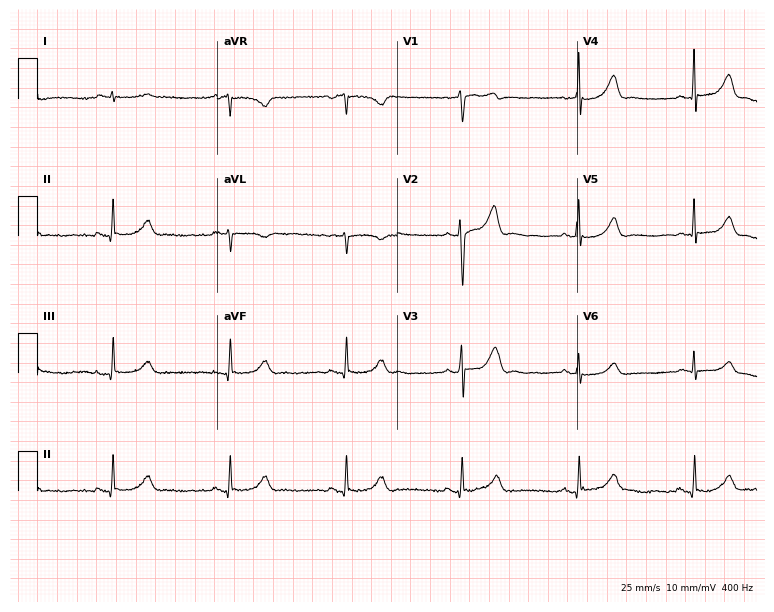
12-lead ECG (7.3-second recording at 400 Hz) from a male patient, 54 years old. Findings include sinus bradycardia (a sinus rate of 50 beats per minute or less).